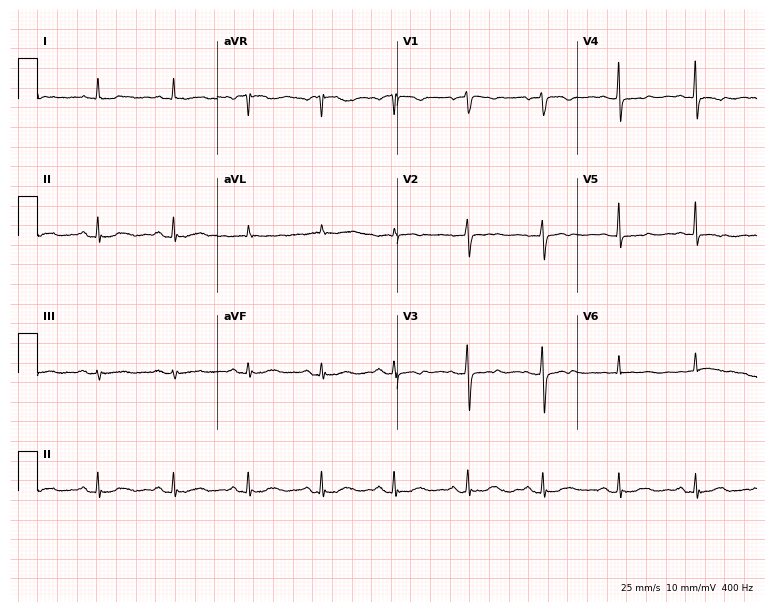
12-lead ECG from a 75-year-old woman. No first-degree AV block, right bundle branch block (RBBB), left bundle branch block (LBBB), sinus bradycardia, atrial fibrillation (AF) or sinus tachycardia recorded for this tracing. Findings outside these six are not listed.